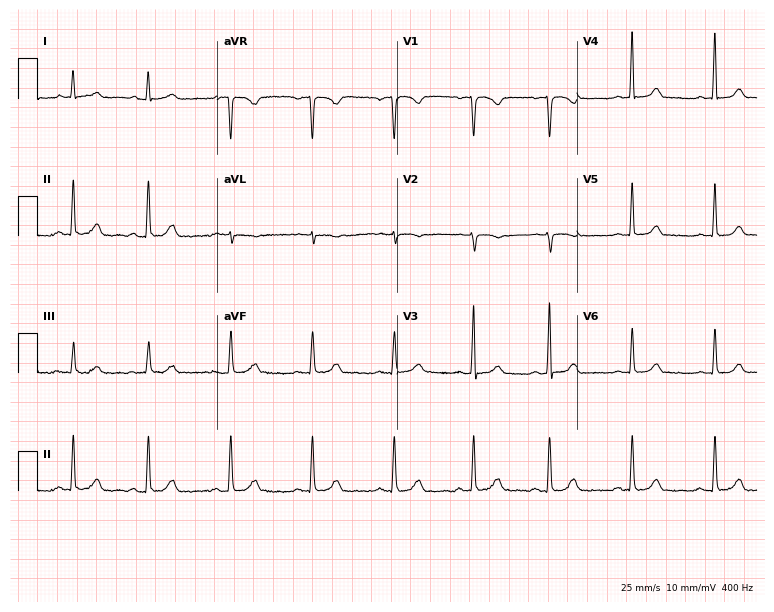
Electrocardiogram, a female patient, 22 years old. Overall reading on record: normal ECG.